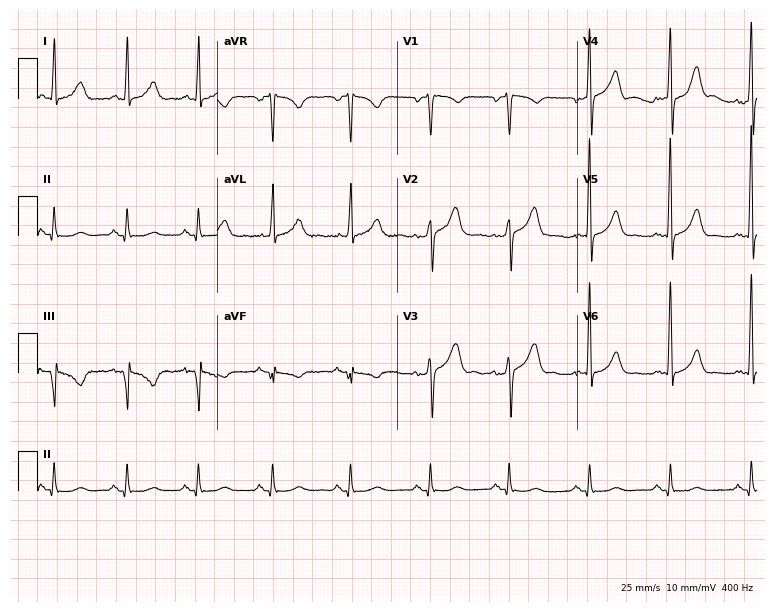
Standard 12-lead ECG recorded from a 65-year-old male patient (7.3-second recording at 400 Hz). None of these six findings is recorded: first-degree AV block, right bundle branch block (RBBB), left bundle branch block (LBBB), sinus bradycardia, atrial fibrillation (AF), sinus tachycardia. Only these six findings were labelled.